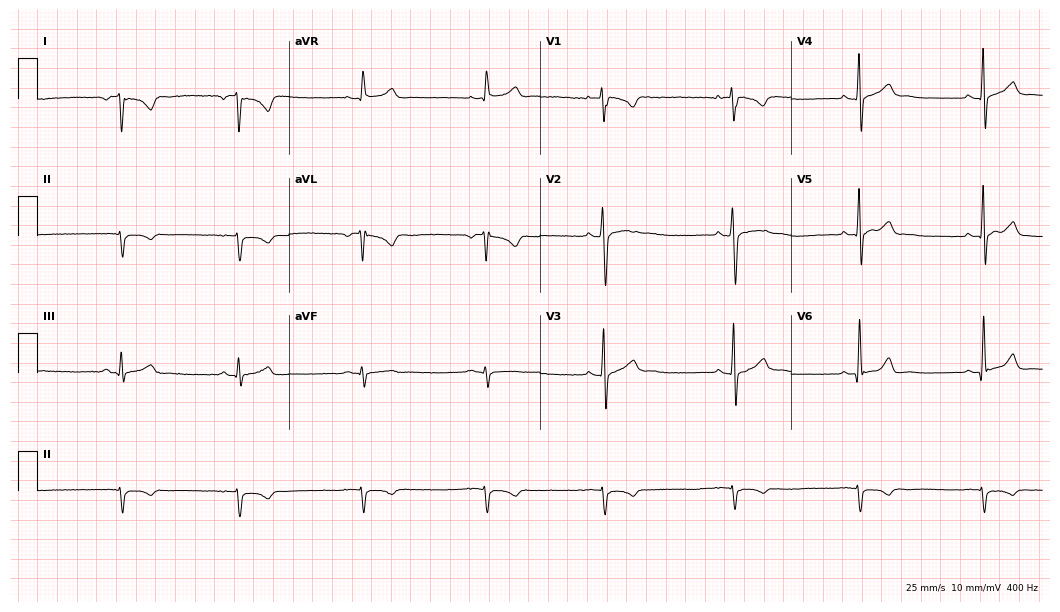
Resting 12-lead electrocardiogram. Patient: a male, 24 years old. None of these six findings is recorded: first-degree AV block, right bundle branch block, left bundle branch block, sinus bradycardia, atrial fibrillation, sinus tachycardia.